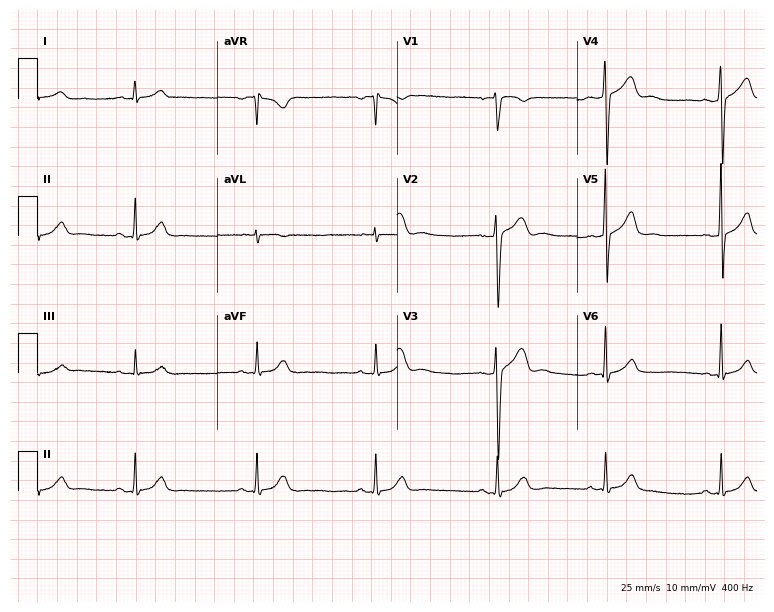
12-lead ECG from a 26-year-old male. Screened for six findings — first-degree AV block, right bundle branch block, left bundle branch block, sinus bradycardia, atrial fibrillation, sinus tachycardia — none is recorded. Findings outside these six are not listed.